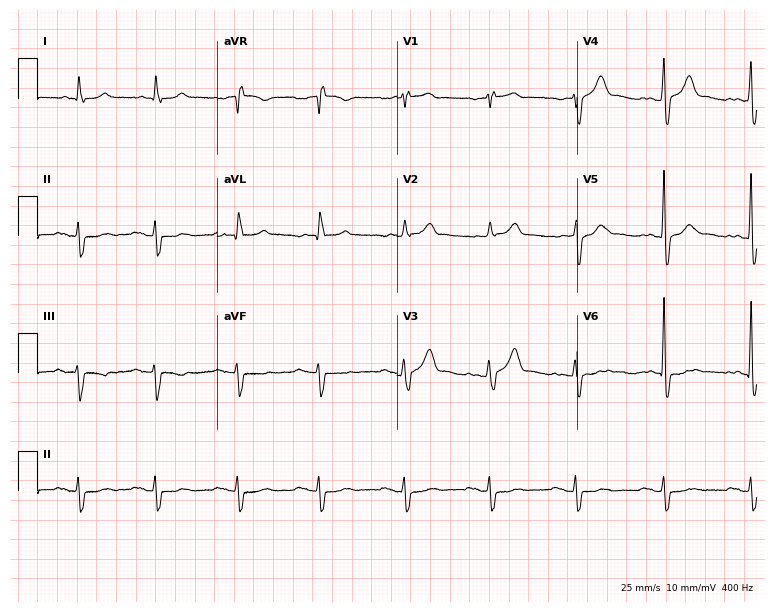
12-lead ECG (7.3-second recording at 400 Hz) from a 79-year-old male. Screened for six findings — first-degree AV block, right bundle branch block, left bundle branch block, sinus bradycardia, atrial fibrillation, sinus tachycardia — none is recorded. Other findings, if any, are not listed.